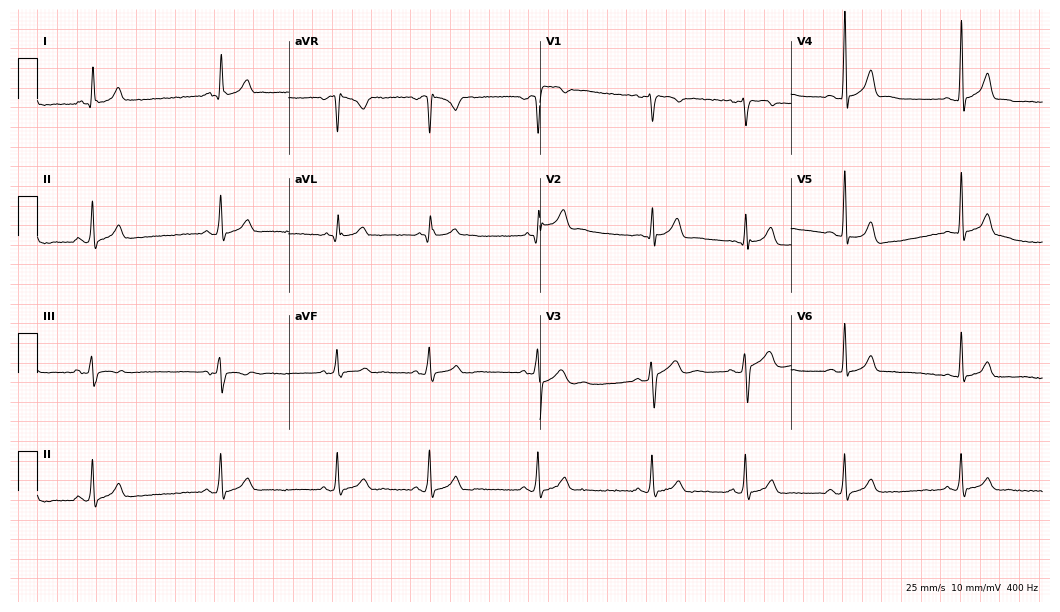
12-lead ECG from a male patient, 27 years old. Recorded interpretation: within normal limits.